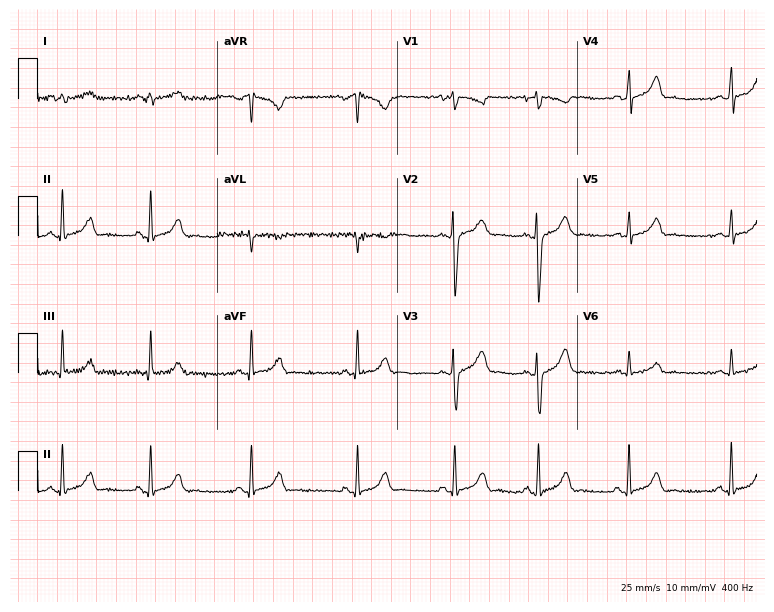
Electrocardiogram, a female, 24 years old. Of the six screened findings (first-degree AV block, right bundle branch block (RBBB), left bundle branch block (LBBB), sinus bradycardia, atrial fibrillation (AF), sinus tachycardia), none is recorded. Other findings, if any, are not listed.